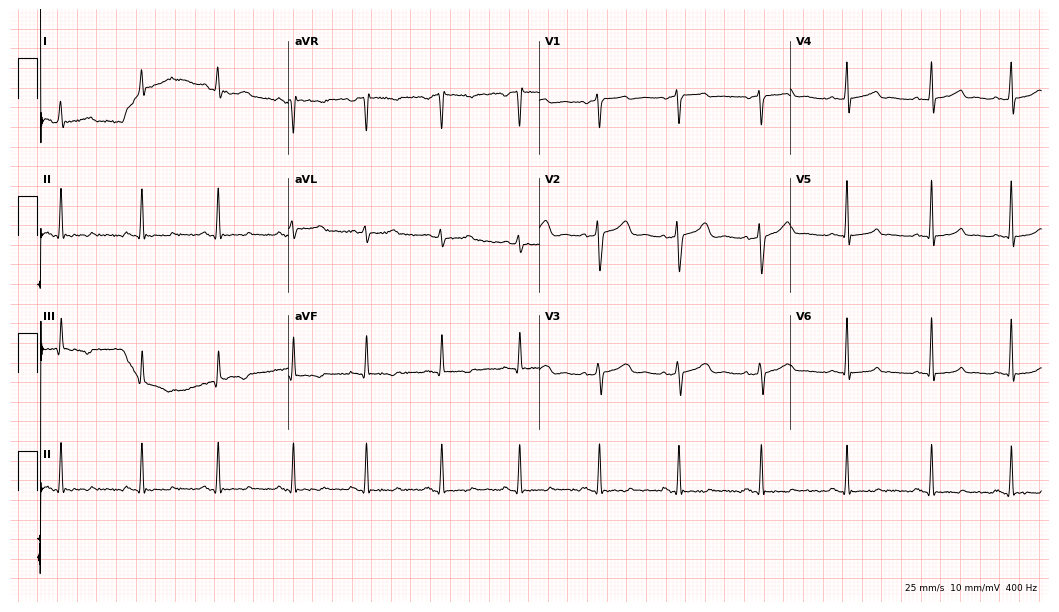
Electrocardiogram, a female, 35 years old. Of the six screened findings (first-degree AV block, right bundle branch block, left bundle branch block, sinus bradycardia, atrial fibrillation, sinus tachycardia), none is recorded. Other findings, if any, are not listed.